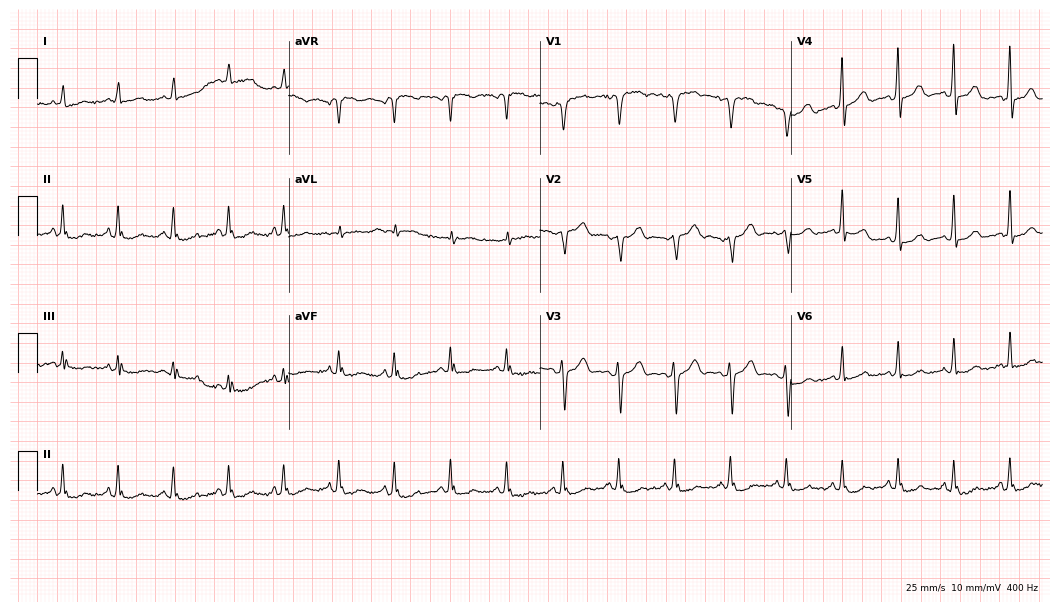
ECG (10.2-second recording at 400 Hz) — a woman, 71 years old. Screened for six findings — first-degree AV block, right bundle branch block (RBBB), left bundle branch block (LBBB), sinus bradycardia, atrial fibrillation (AF), sinus tachycardia — none is recorded.